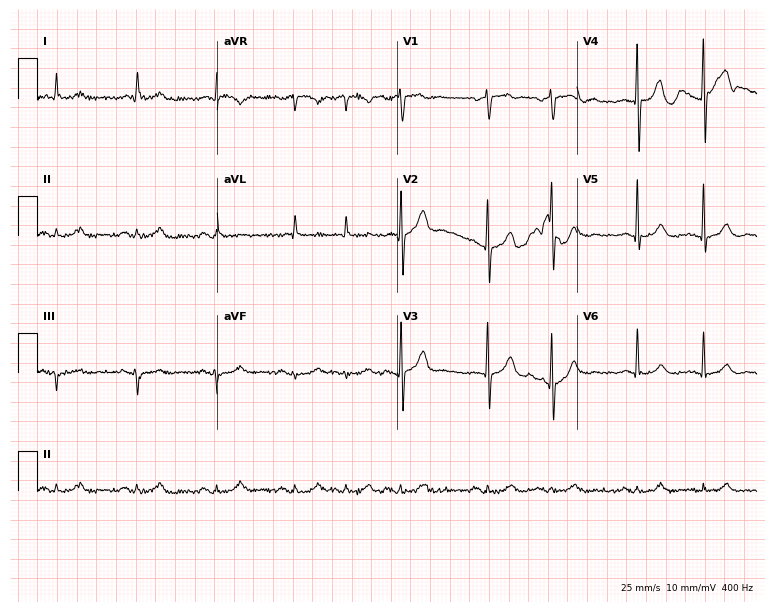
12-lead ECG from a 68-year-old male patient. Screened for six findings — first-degree AV block, right bundle branch block, left bundle branch block, sinus bradycardia, atrial fibrillation, sinus tachycardia — none is recorded.